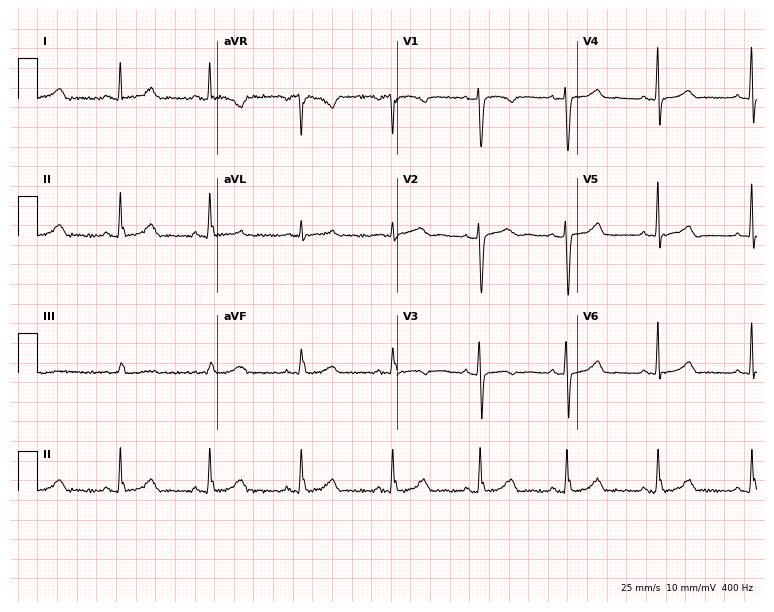
Resting 12-lead electrocardiogram. Patient: a female, 51 years old. Read as a normal ECG.